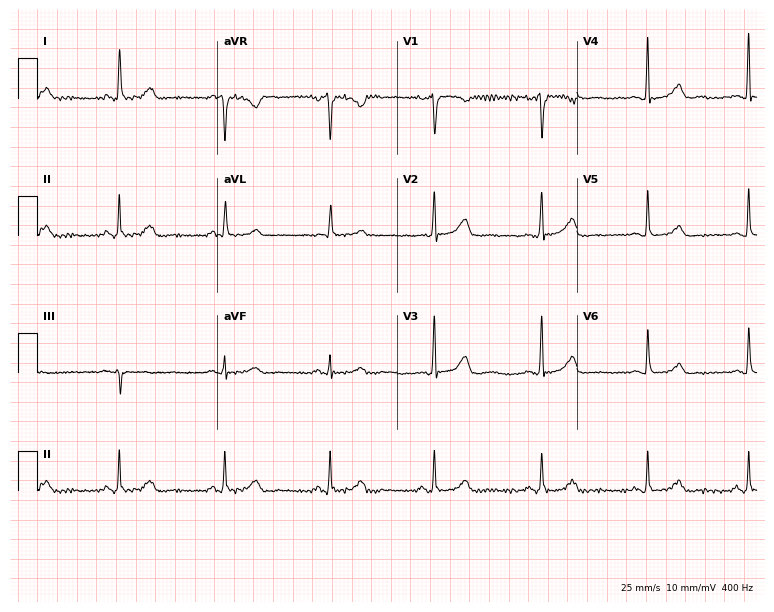
12-lead ECG from a 67-year-old female patient (7.3-second recording at 400 Hz). Recorded interpretation: within normal limits.